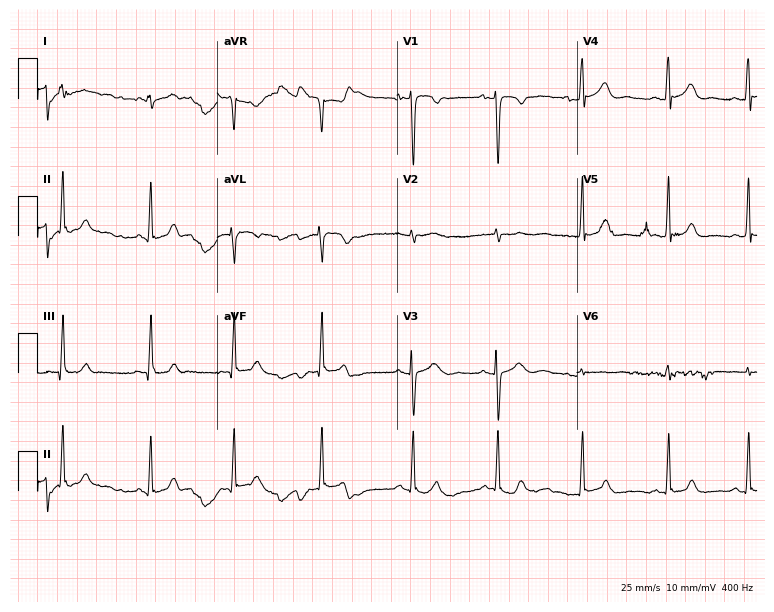
12-lead ECG from a woman, 20 years old. No first-degree AV block, right bundle branch block (RBBB), left bundle branch block (LBBB), sinus bradycardia, atrial fibrillation (AF) or sinus tachycardia recorded for this tracing.